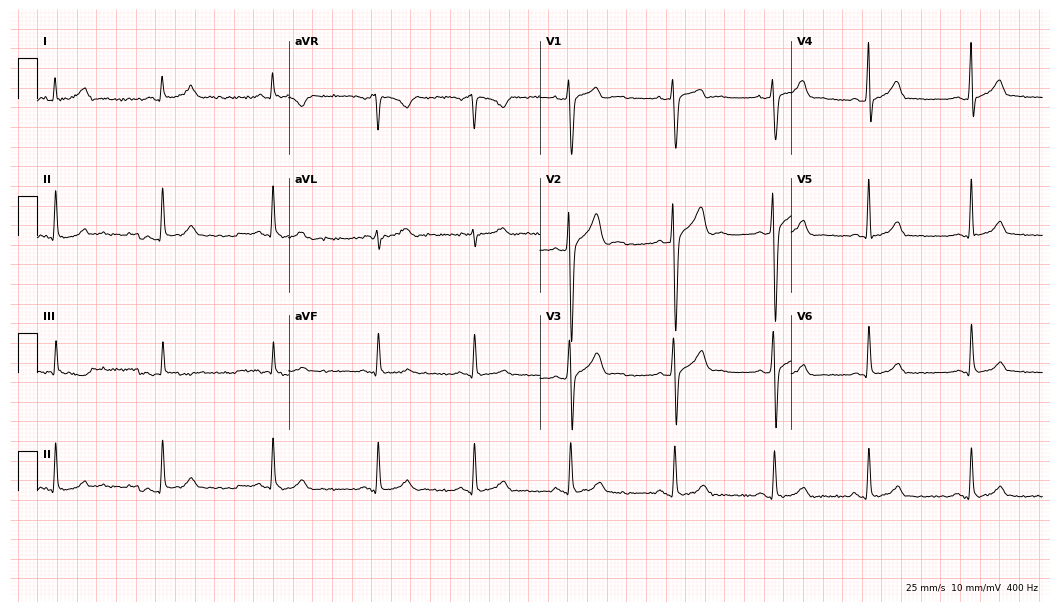
12-lead ECG from a 21-year-old male patient. Screened for six findings — first-degree AV block, right bundle branch block, left bundle branch block, sinus bradycardia, atrial fibrillation, sinus tachycardia — none is recorded. Other findings, if any, are not listed.